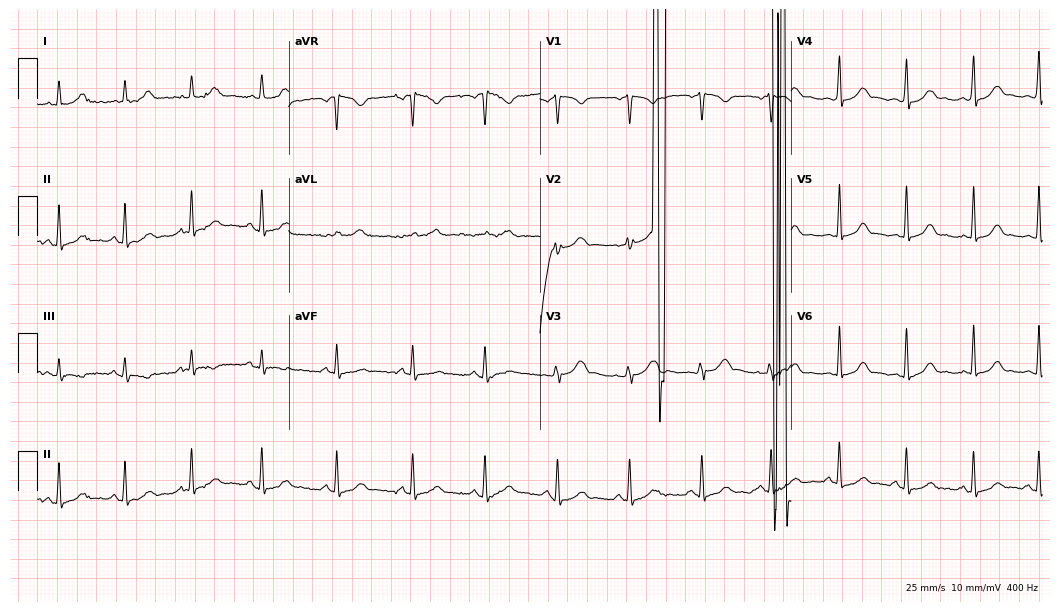
Electrocardiogram, a woman, 40 years old. Of the six screened findings (first-degree AV block, right bundle branch block, left bundle branch block, sinus bradycardia, atrial fibrillation, sinus tachycardia), none is recorded.